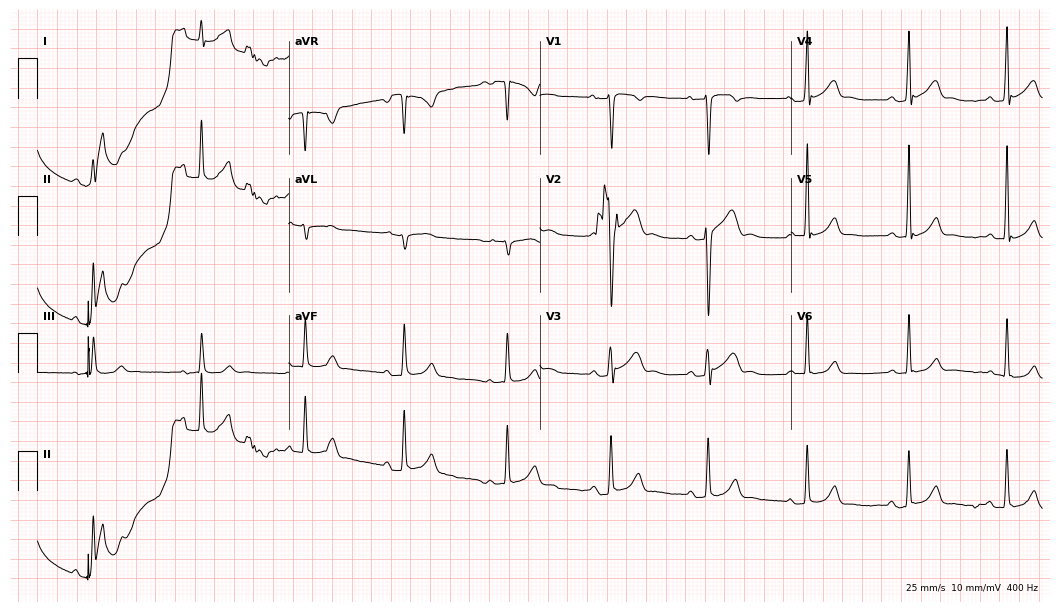
Resting 12-lead electrocardiogram (10.2-second recording at 400 Hz). Patient: a man, 30 years old. None of these six findings is recorded: first-degree AV block, right bundle branch block, left bundle branch block, sinus bradycardia, atrial fibrillation, sinus tachycardia. Findings outside these six are not listed.